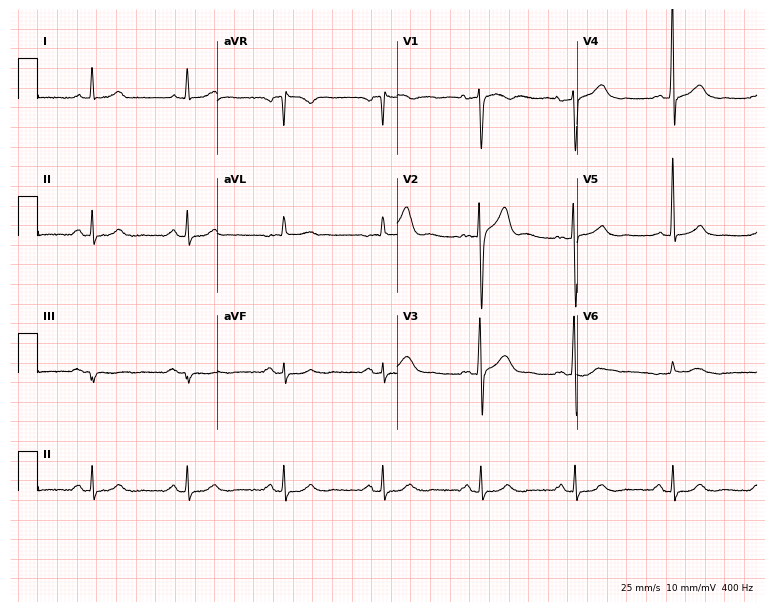
12-lead ECG from a man, 54 years old. No first-degree AV block, right bundle branch block, left bundle branch block, sinus bradycardia, atrial fibrillation or sinus tachycardia recorded for this tracing. Findings outside these six are not listed.